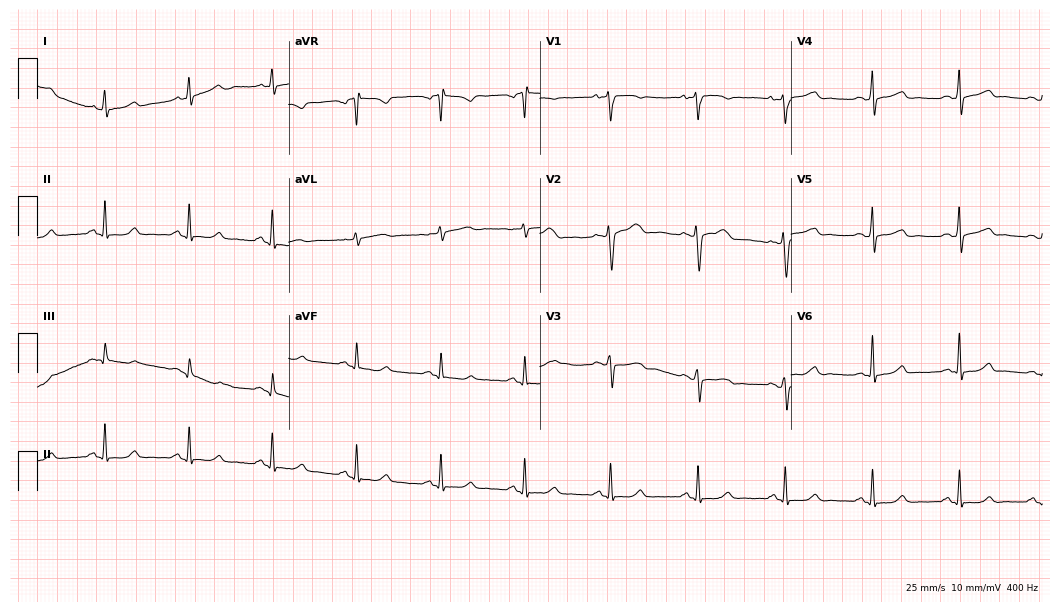
Electrocardiogram (10.2-second recording at 400 Hz), a woman, 31 years old. Overall reading on record: normal ECG.